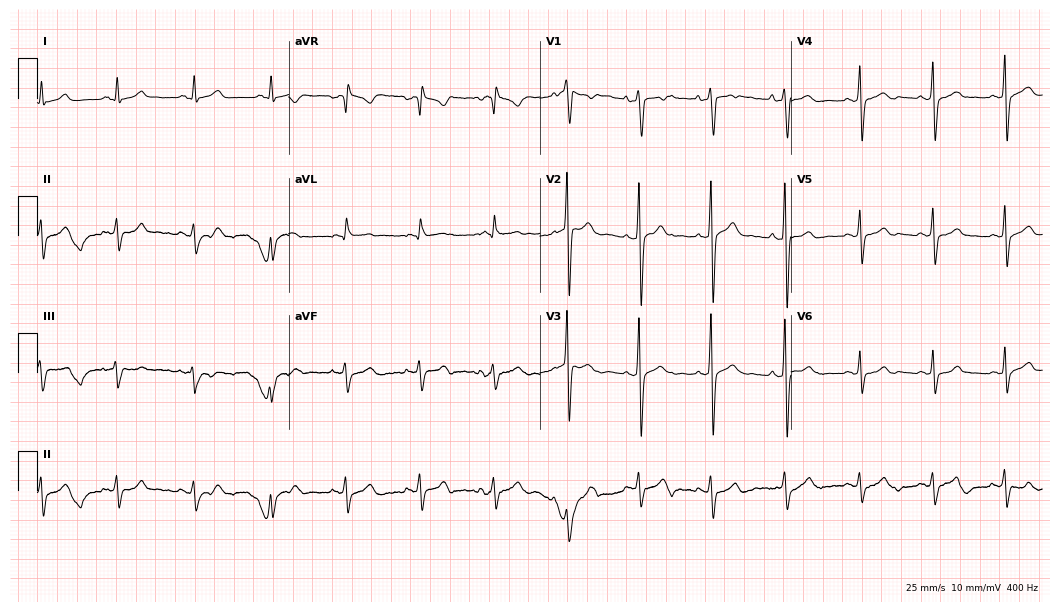
12-lead ECG from a male, 35 years old (10.2-second recording at 400 Hz). Recorded interpretation: within normal limits.